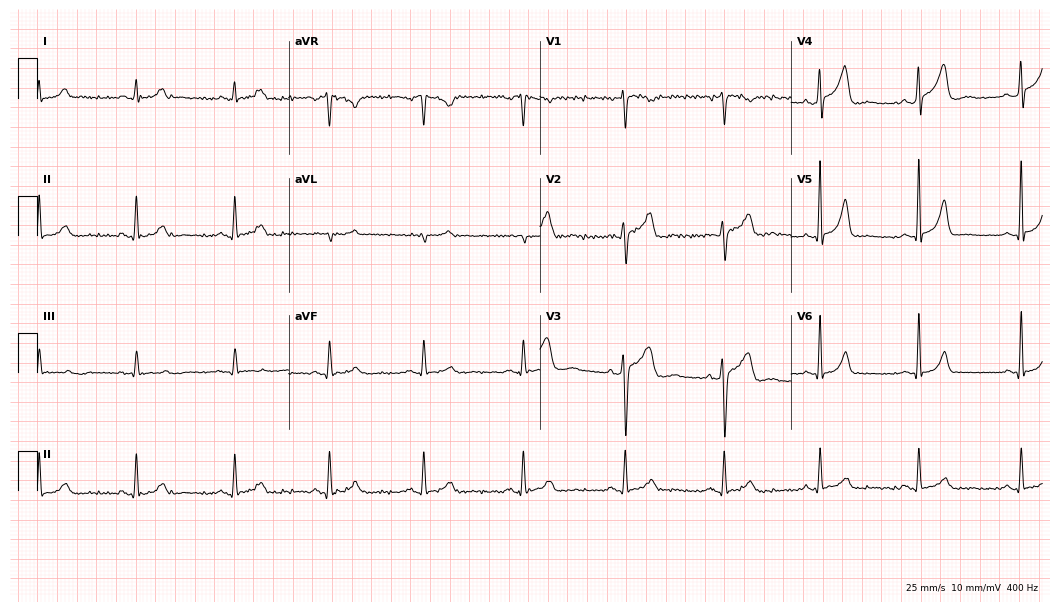
ECG — a male, 38 years old. Screened for six findings — first-degree AV block, right bundle branch block, left bundle branch block, sinus bradycardia, atrial fibrillation, sinus tachycardia — none is recorded. Only these six findings were labelled.